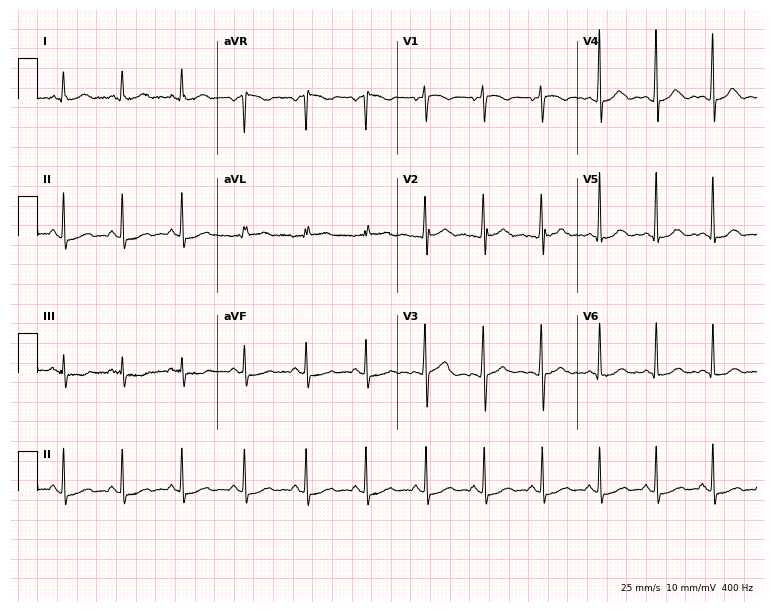
Electrocardiogram, a 48-year-old female patient. Of the six screened findings (first-degree AV block, right bundle branch block (RBBB), left bundle branch block (LBBB), sinus bradycardia, atrial fibrillation (AF), sinus tachycardia), none is recorded. Findings outside these six are not listed.